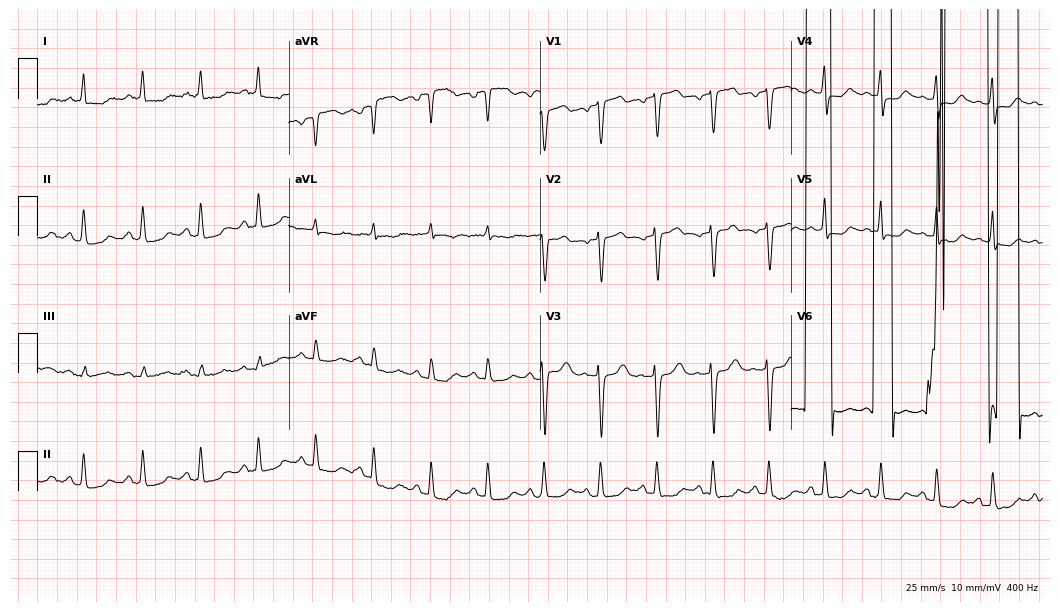
ECG (10.2-second recording at 400 Hz) — a 75-year-old woman. Findings include sinus tachycardia (a sinus rate of 100 beats per minute or more).